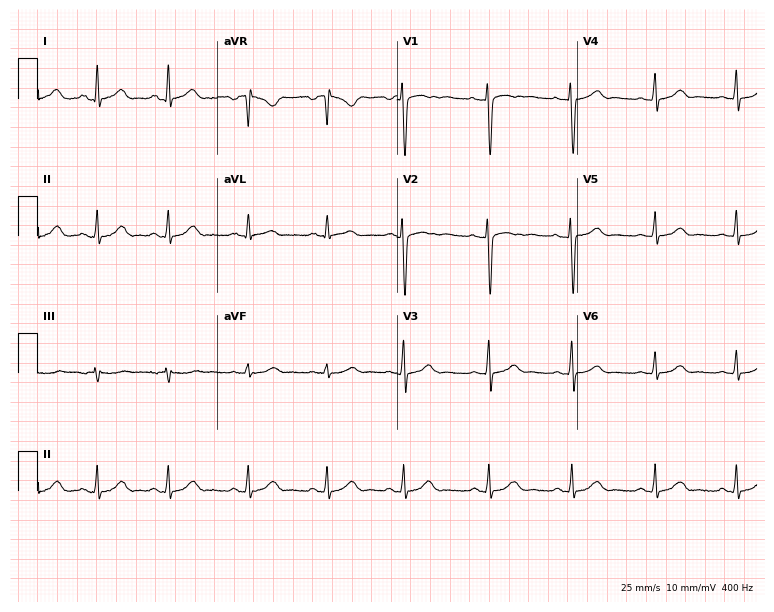
ECG (7.3-second recording at 400 Hz) — a female patient, 28 years old. Labelled as a normal ECG.